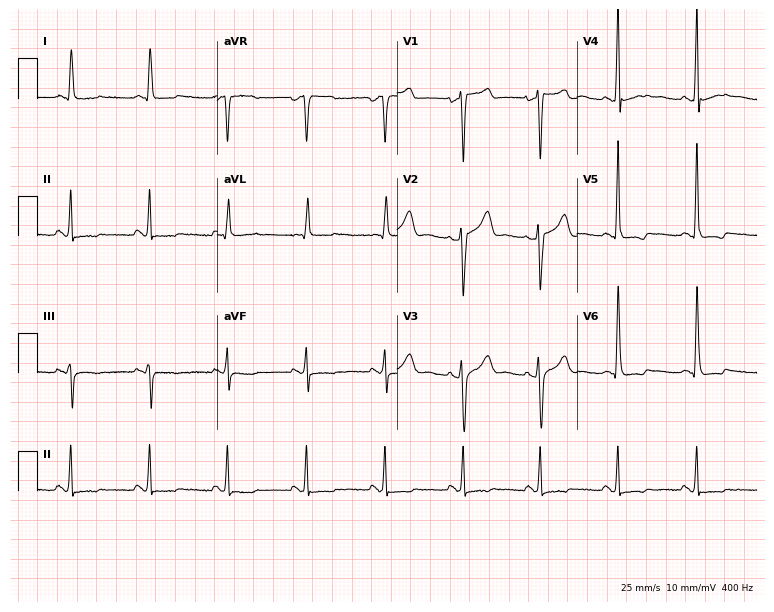
12-lead ECG from a 56-year-old male patient. No first-degree AV block, right bundle branch block, left bundle branch block, sinus bradycardia, atrial fibrillation or sinus tachycardia recorded for this tracing. Only these six findings were labelled.